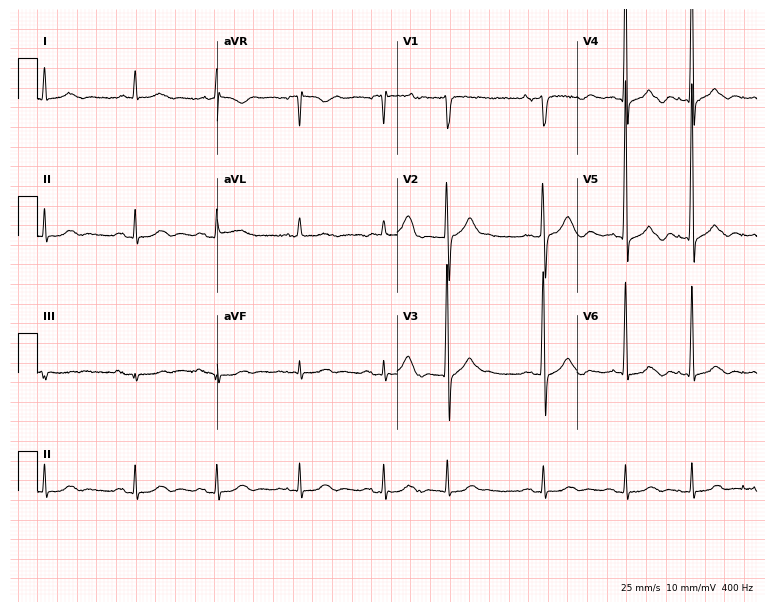
Electrocardiogram (7.3-second recording at 400 Hz), a 79-year-old male patient. Of the six screened findings (first-degree AV block, right bundle branch block (RBBB), left bundle branch block (LBBB), sinus bradycardia, atrial fibrillation (AF), sinus tachycardia), none is recorded. Findings outside these six are not listed.